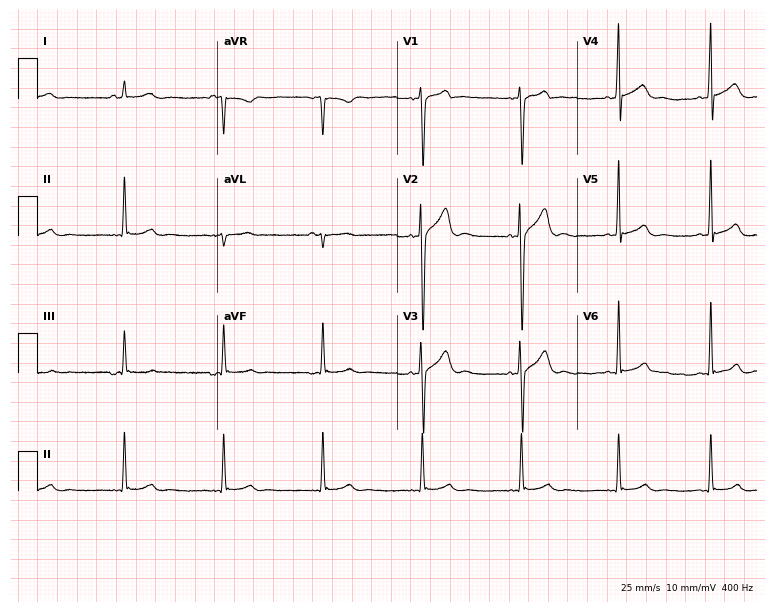
12-lead ECG from an 18-year-old male. Screened for six findings — first-degree AV block, right bundle branch block, left bundle branch block, sinus bradycardia, atrial fibrillation, sinus tachycardia — none is recorded.